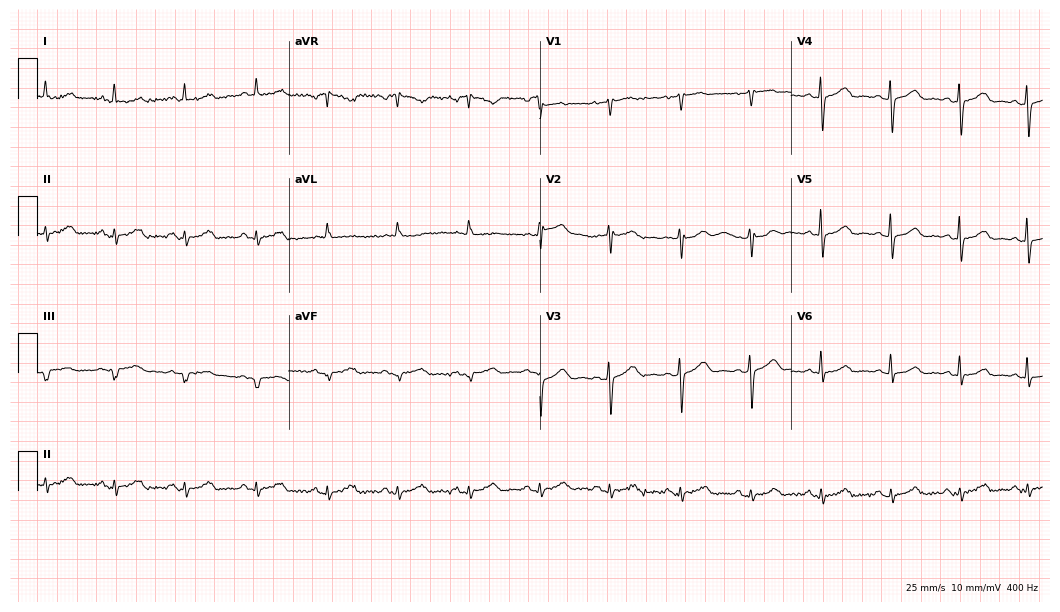
Electrocardiogram (10.2-second recording at 400 Hz), a 78-year-old woman. Overall reading on record: normal ECG.